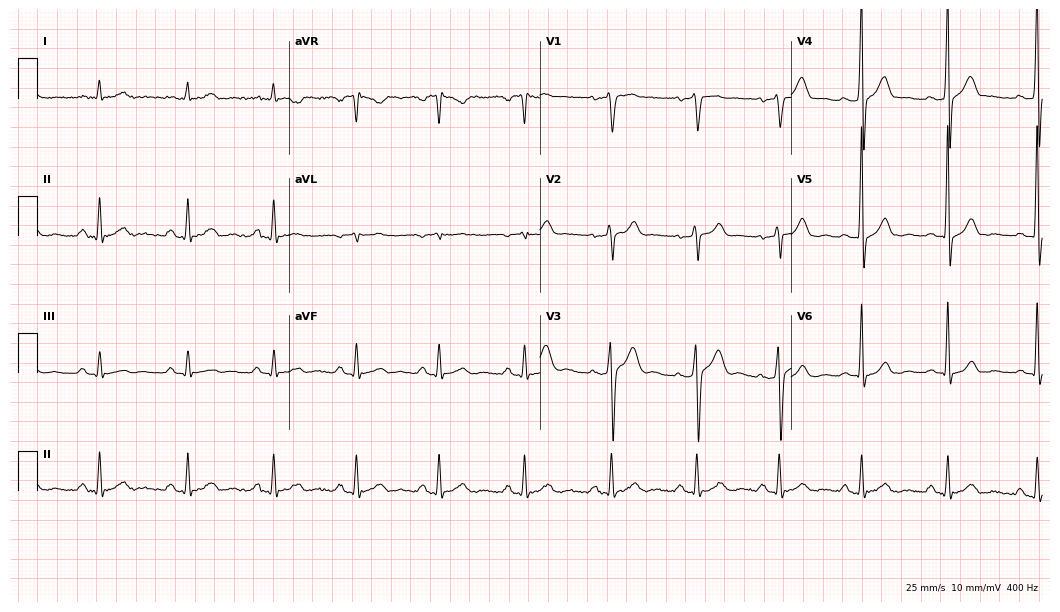
Standard 12-lead ECG recorded from a male, 39 years old. Read as a normal ECG.